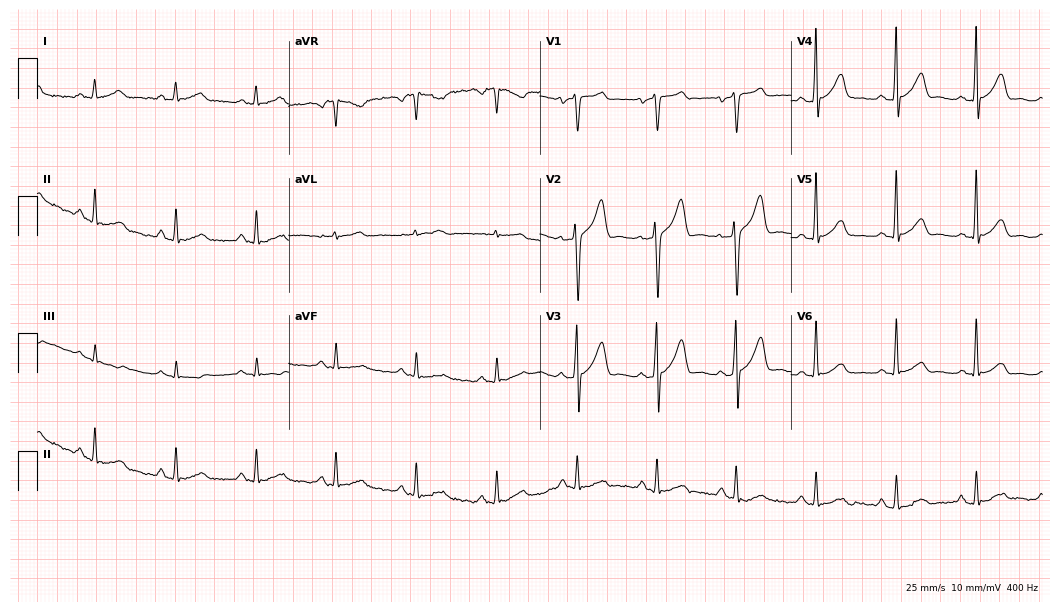
Electrocardiogram (10.2-second recording at 400 Hz), a 47-year-old male patient. Overall reading on record: normal ECG.